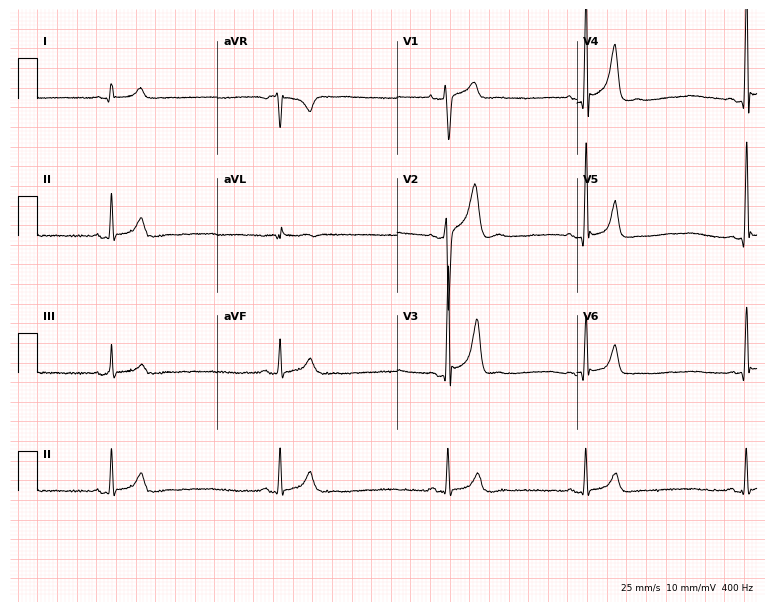
ECG — a male patient, 23 years old. Findings include sinus bradycardia (a sinus rate of 50 beats per minute or less).